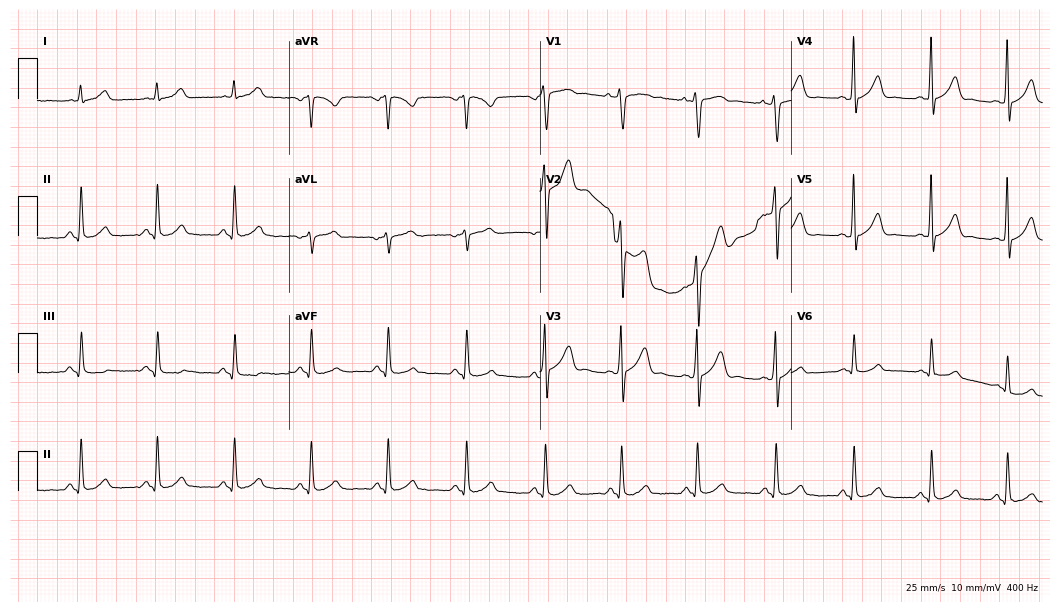
ECG (10.2-second recording at 400 Hz) — a 28-year-old man. Labelled as a normal ECG.